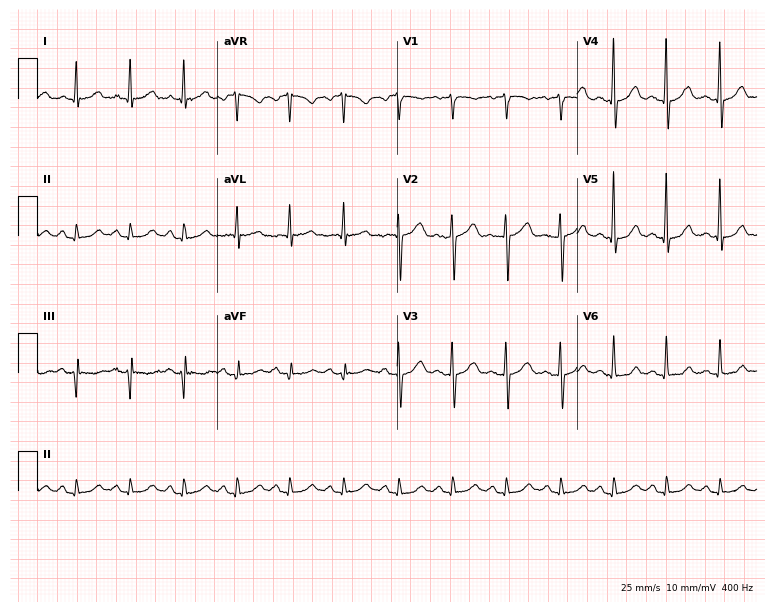
12-lead ECG from a 53-year-old female patient. Screened for six findings — first-degree AV block, right bundle branch block, left bundle branch block, sinus bradycardia, atrial fibrillation, sinus tachycardia — none is recorded.